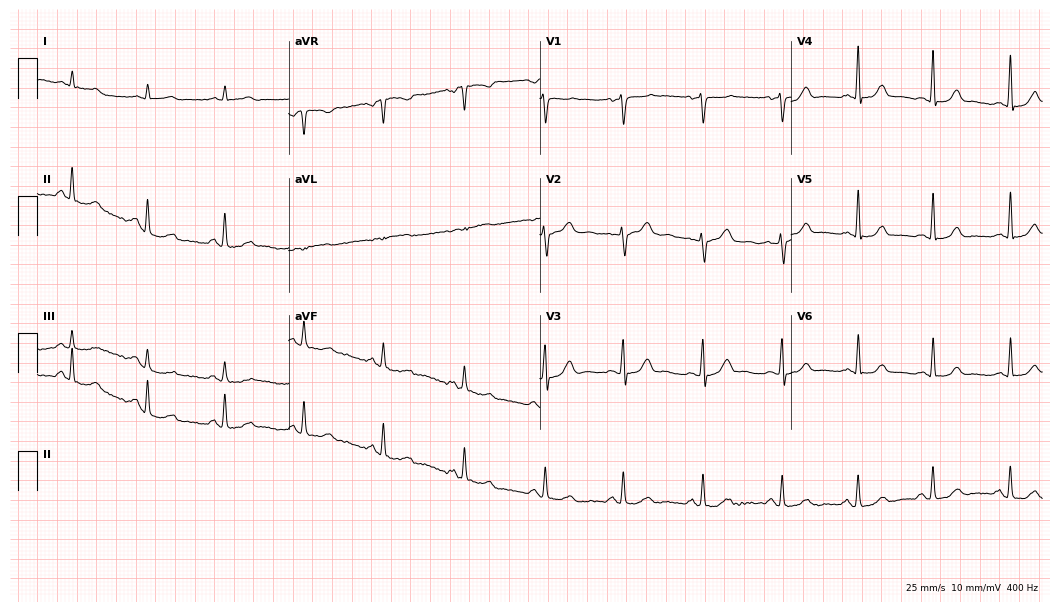
12-lead ECG (10.2-second recording at 400 Hz) from a woman, 50 years old. Labelled as a normal ECG.